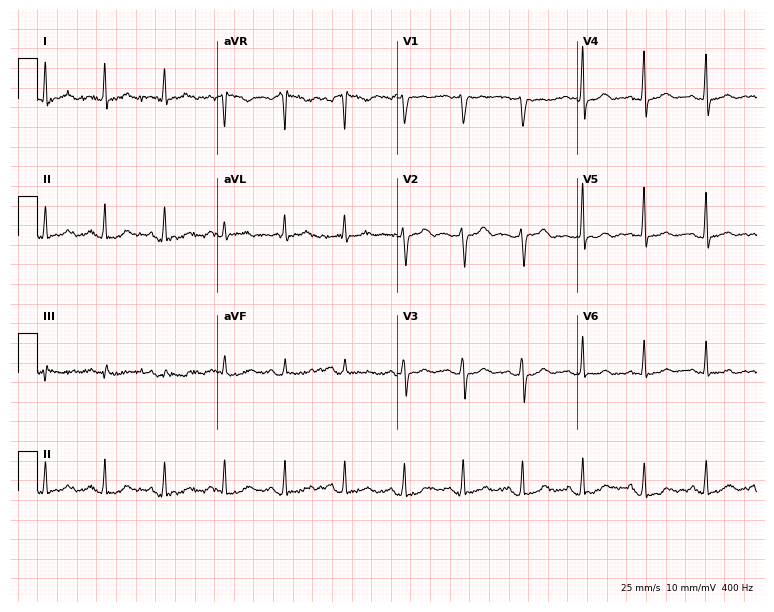
Standard 12-lead ECG recorded from a female, 51 years old (7.3-second recording at 400 Hz). Read as a normal ECG.